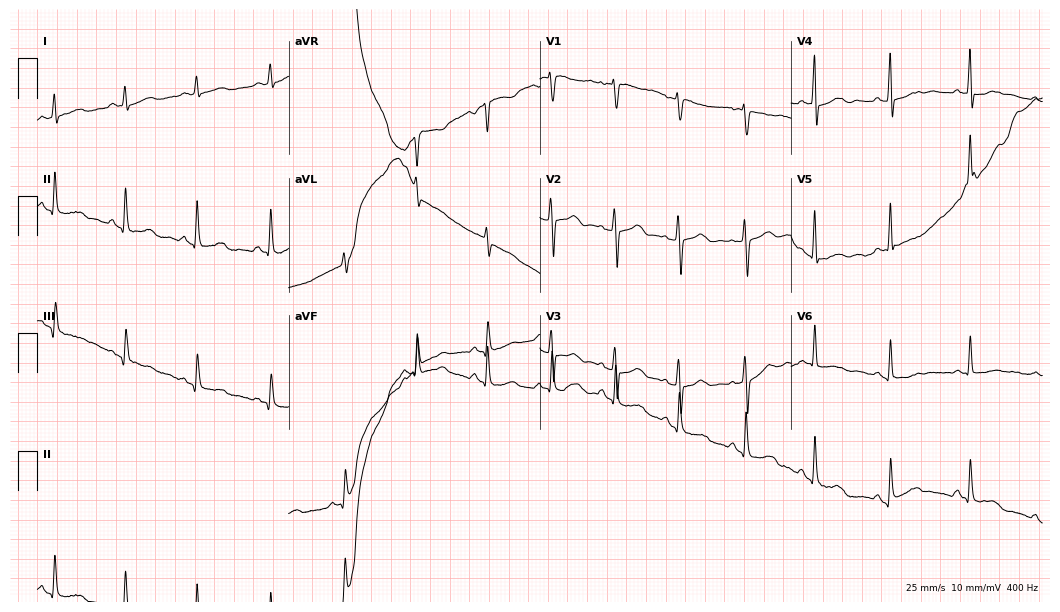
Standard 12-lead ECG recorded from a woman, 45 years old (10.2-second recording at 400 Hz). None of these six findings is recorded: first-degree AV block, right bundle branch block, left bundle branch block, sinus bradycardia, atrial fibrillation, sinus tachycardia.